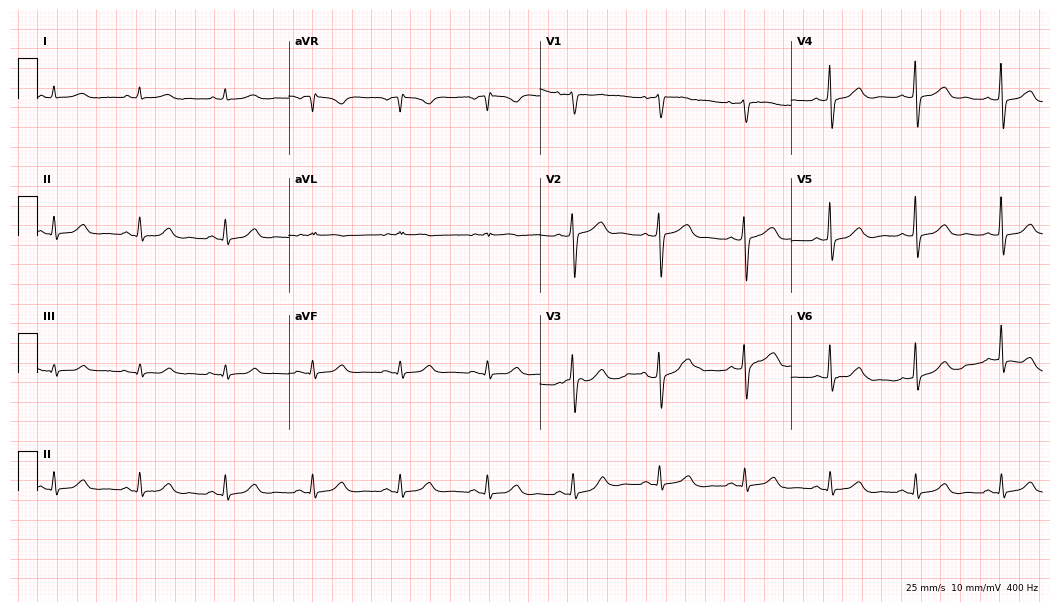
12-lead ECG (10.2-second recording at 400 Hz) from a 66-year-old male. Labelled as a normal ECG.